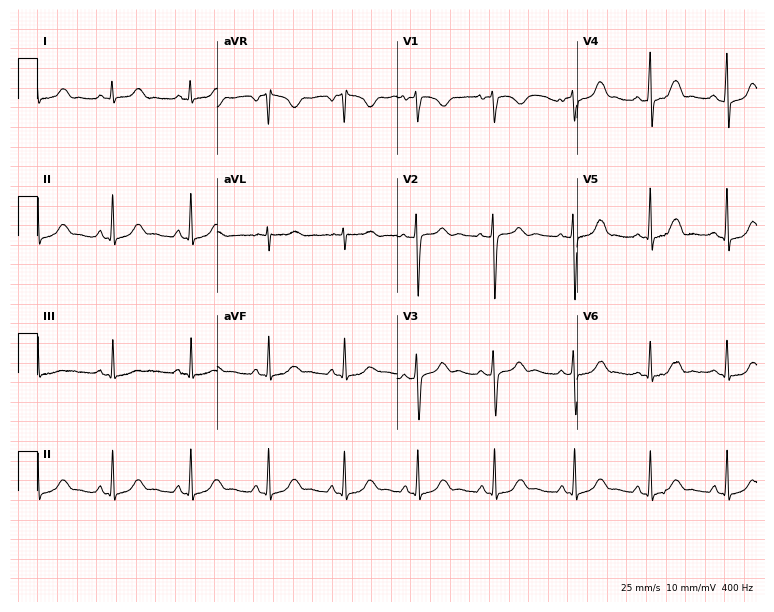
Electrocardiogram (7.3-second recording at 400 Hz), a woman, 26 years old. Overall reading on record: normal ECG.